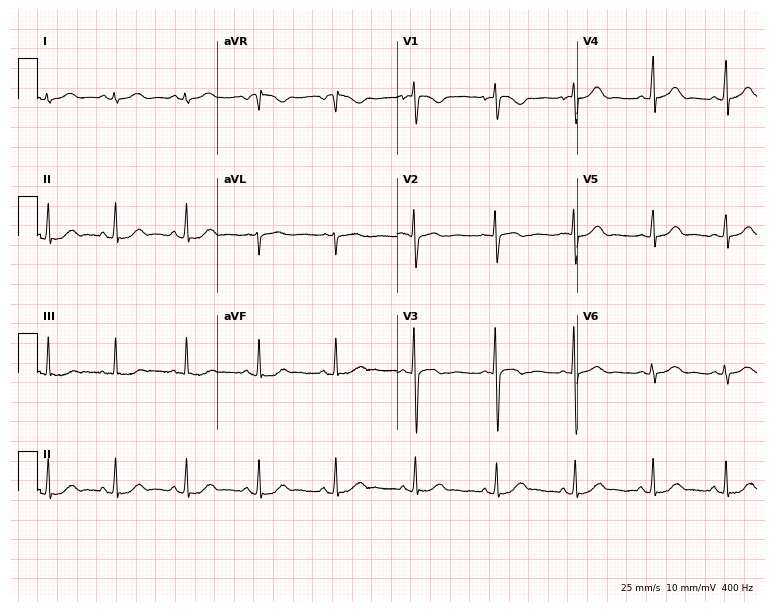
Resting 12-lead electrocardiogram. Patient: a female, 17 years old. Read as a normal ECG.